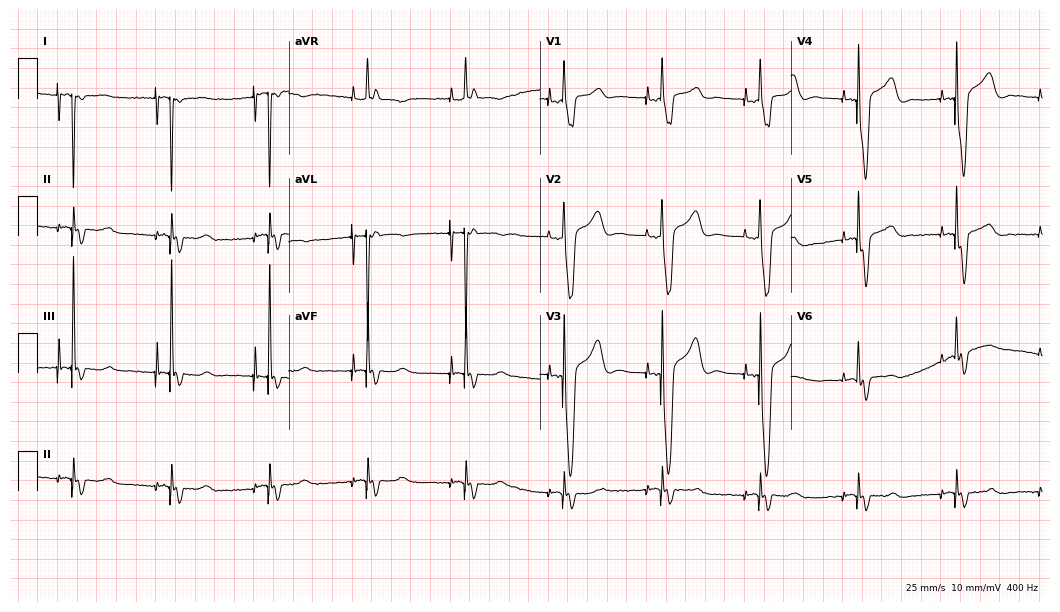
12-lead ECG from an 83-year-old male patient. No first-degree AV block, right bundle branch block, left bundle branch block, sinus bradycardia, atrial fibrillation or sinus tachycardia recorded for this tracing.